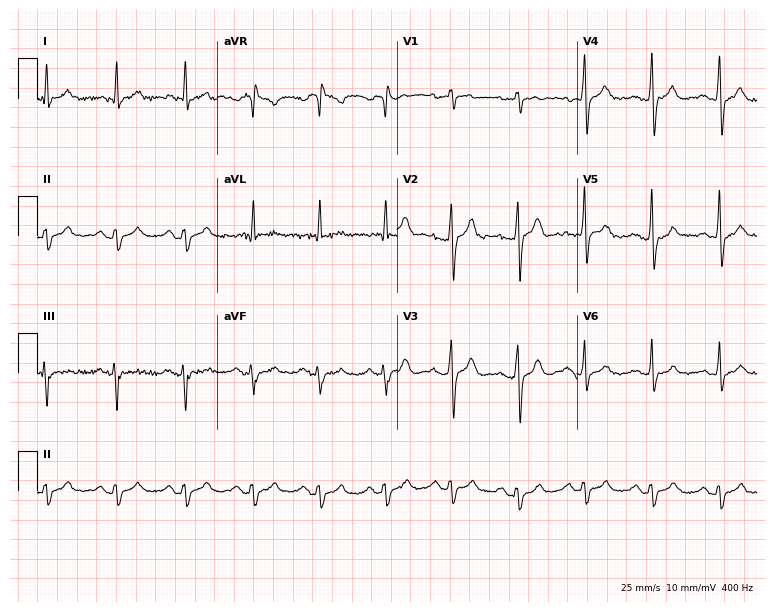
Electrocardiogram (7.3-second recording at 400 Hz), a 50-year-old male patient. Of the six screened findings (first-degree AV block, right bundle branch block (RBBB), left bundle branch block (LBBB), sinus bradycardia, atrial fibrillation (AF), sinus tachycardia), none is recorded. Only these six findings were labelled.